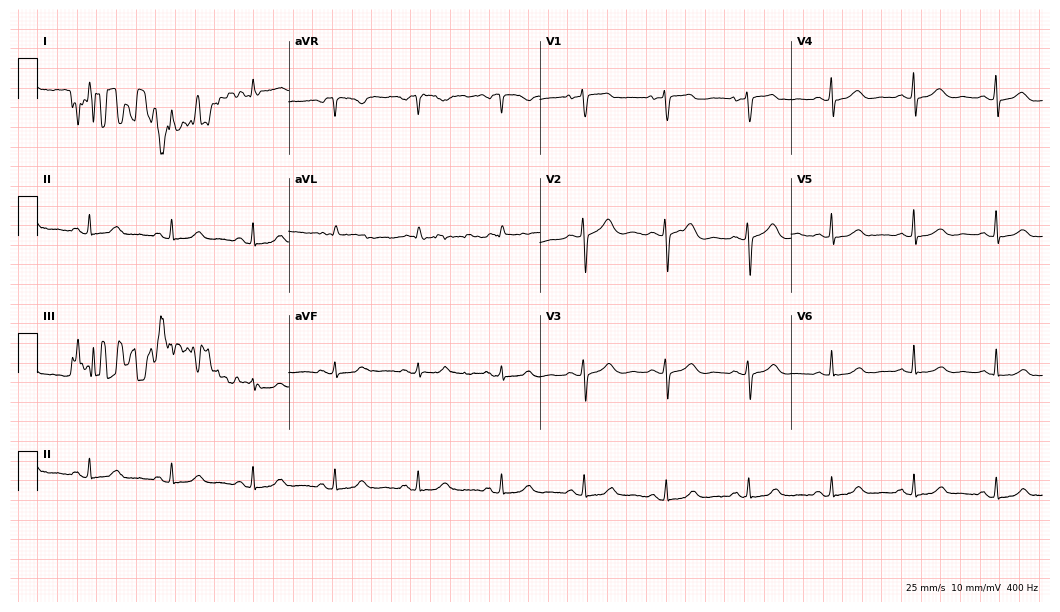
Resting 12-lead electrocardiogram (10.2-second recording at 400 Hz). Patient: a 55-year-old female. Read as a normal ECG.